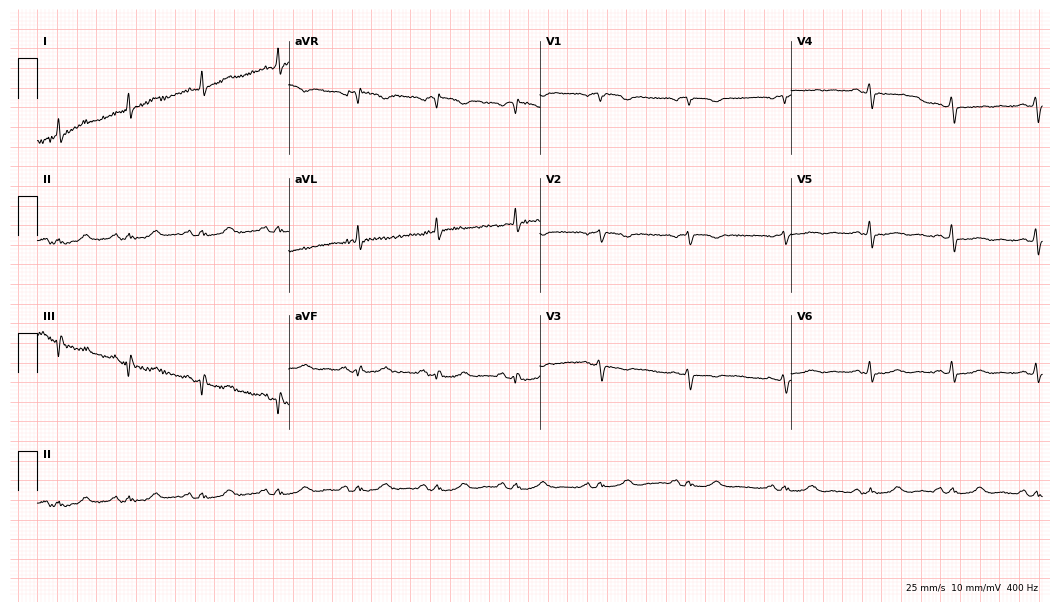
12-lead ECG from a female patient, 65 years old. No first-degree AV block, right bundle branch block, left bundle branch block, sinus bradycardia, atrial fibrillation or sinus tachycardia recorded for this tracing.